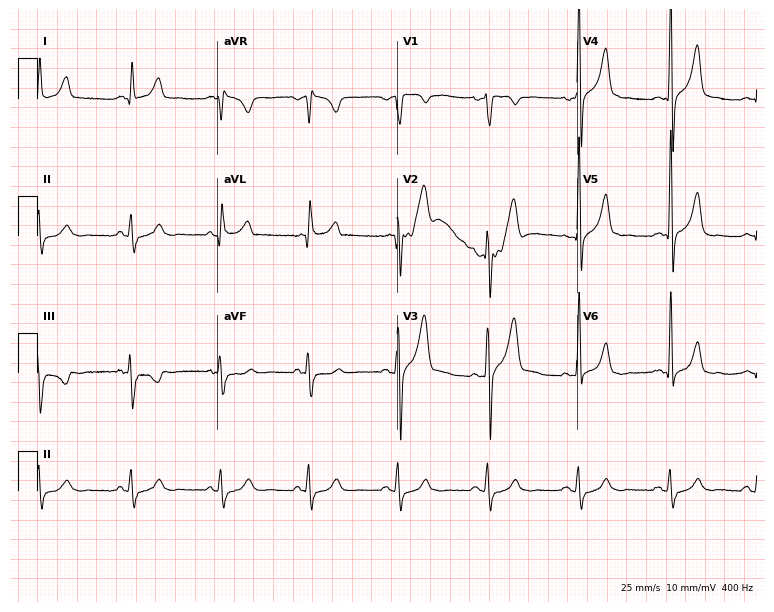
Electrocardiogram, a 47-year-old male. Overall reading on record: normal ECG.